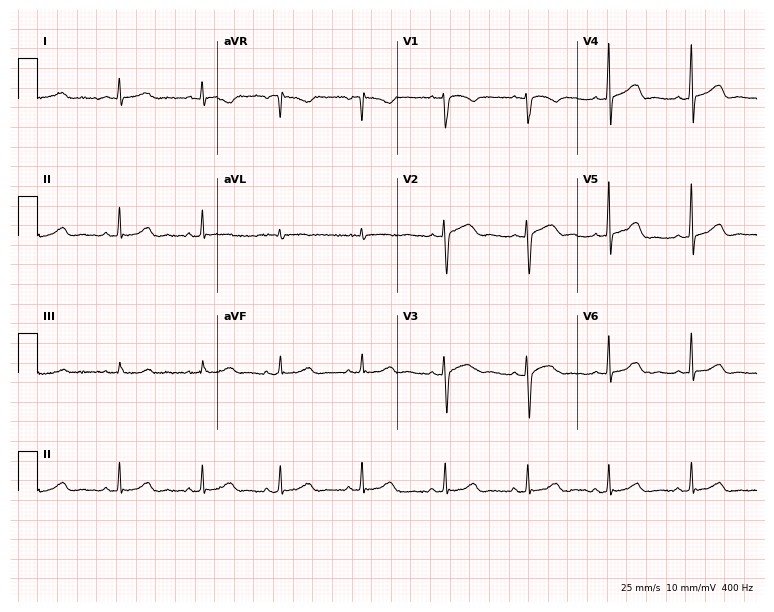
Standard 12-lead ECG recorded from a female patient, 56 years old. Read as a normal ECG.